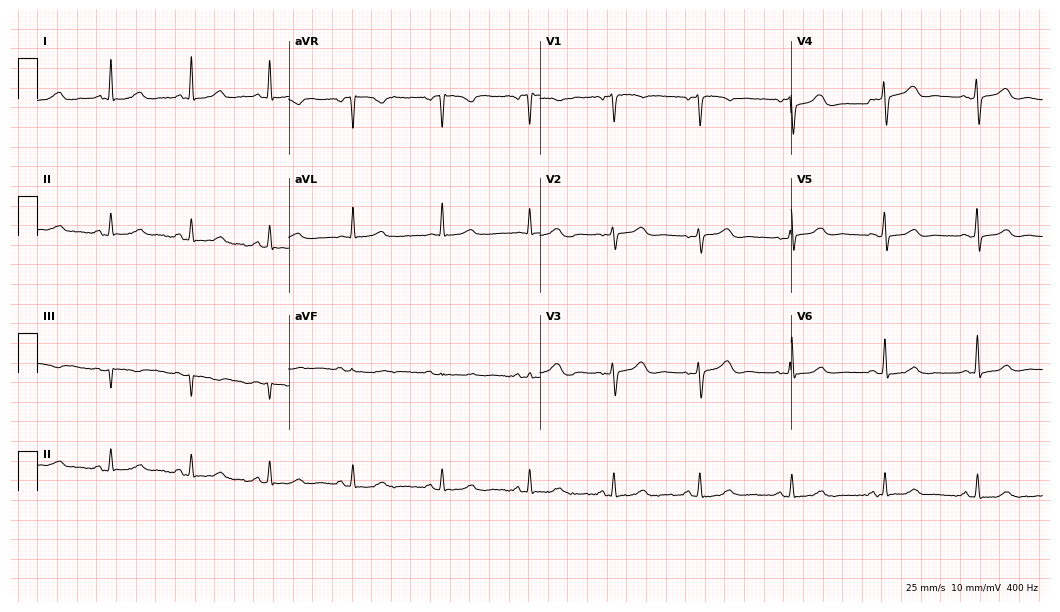
12-lead ECG from a 38-year-old female. Labelled as a normal ECG.